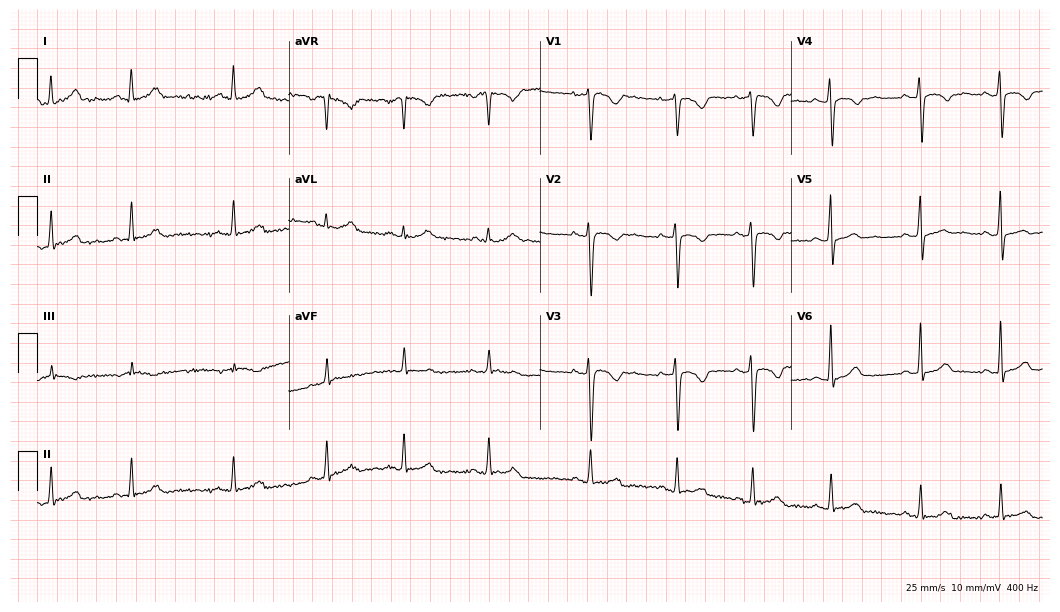
Resting 12-lead electrocardiogram (10.2-second recording at 400 Hz). Patient: a woman, 25 years old. Read as a normal ECG.